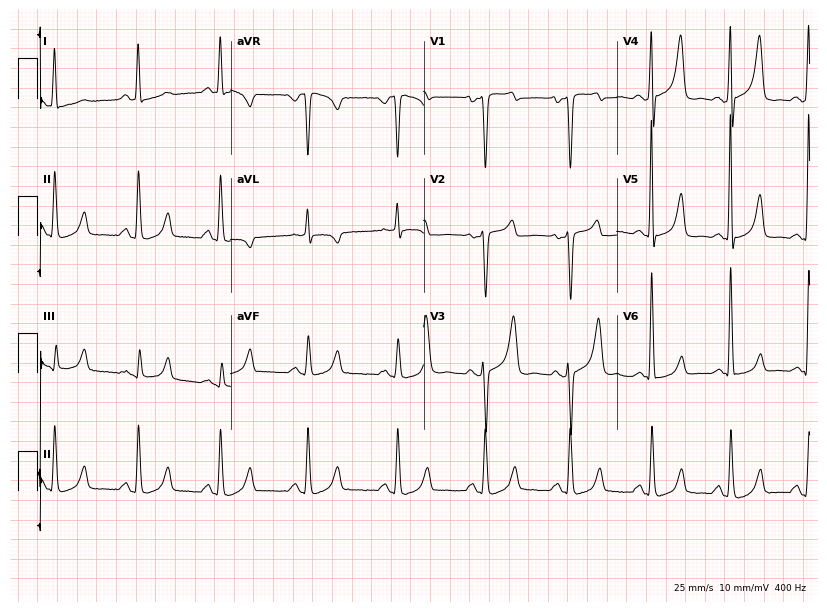
Resting 12-lead electrocardiogram (7.9-second recording at 400 Hz). Patient: a female, 38 years old. Read as a normal ECG.